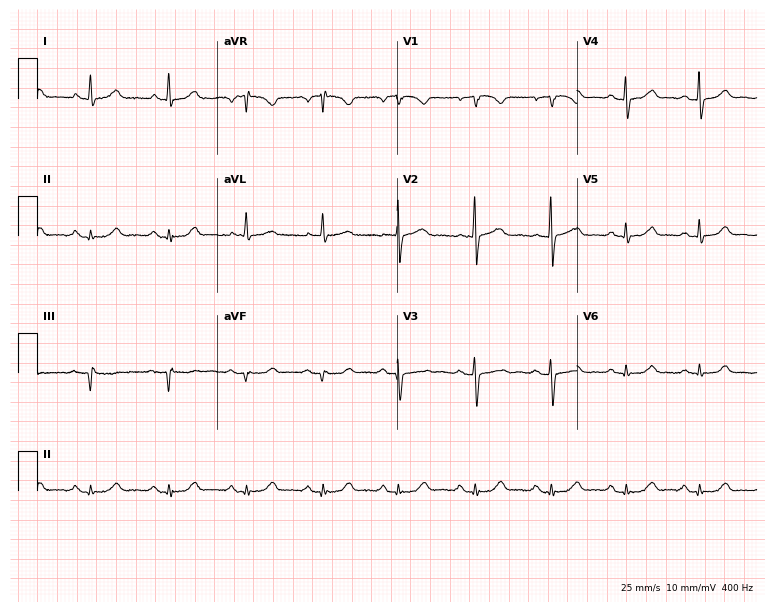
Electrocardiogram, a male, 80 years old. Overall reading on record: normal ECG.